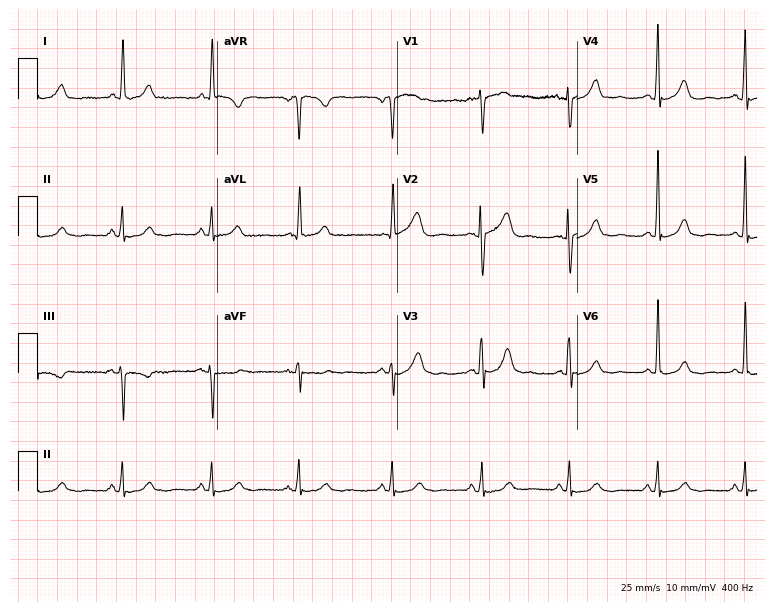
12-lead ECG (7.3-second recording at 400 Hz) from a woman, 53 years old. Labelled as a normal ECG.